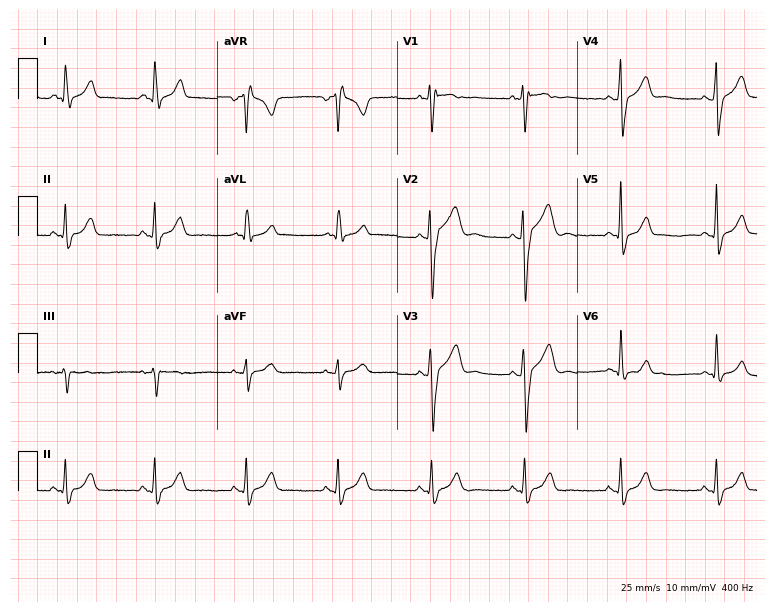
12-lead ECG from a man, 27 years old. Screened for six findings — first-degree AV block, right bundle branch block (RBBB), left bundle branch block (LBBB), sinus bradycardia, atrial fibrillation (AF), sinus tachycardia — none is recorded.